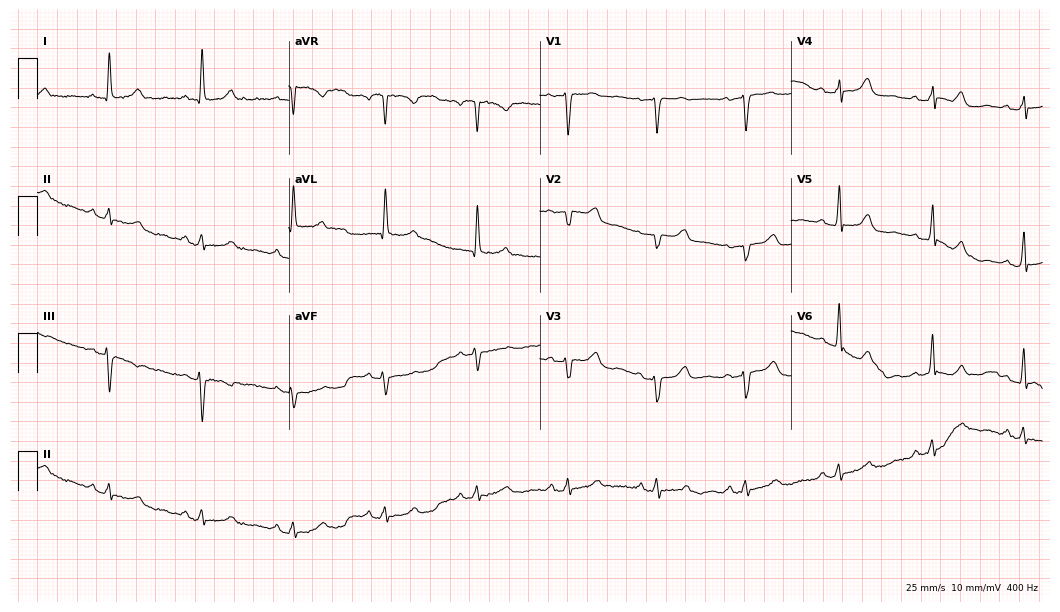
Standard 12-lead ECG recorded from a female, 62 years old. Read as a normal ECG.